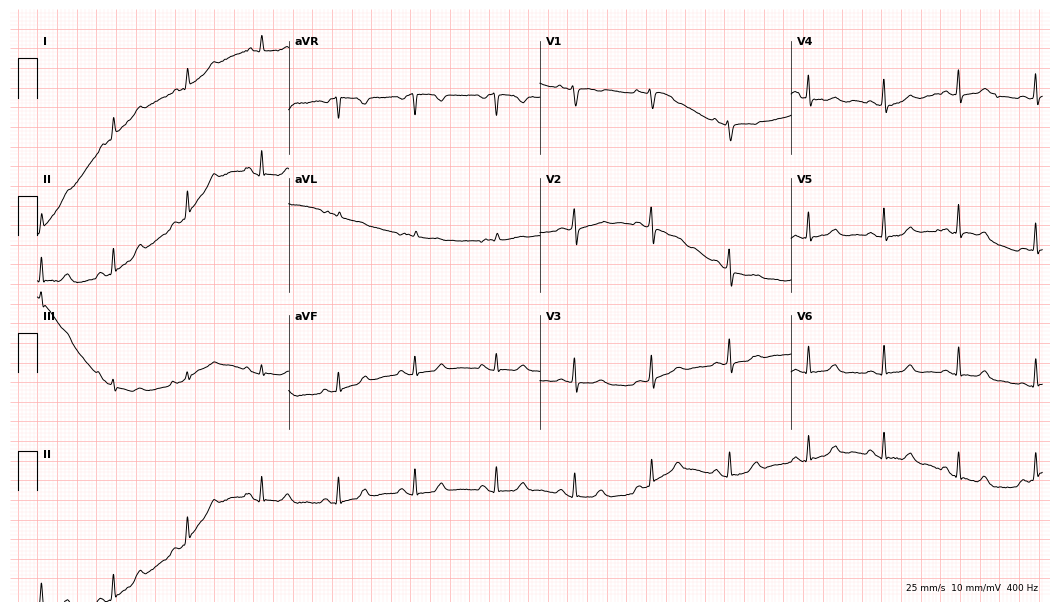
12-lead ECG from a 51-year-old female. No first-degree AV block, right bundle branch block (RBBB), left bundle branch block (LBBB), sinus bradycardia, atrial fibrillation (AF) or sinus tachycardia recorded for this tracing. Other findings, if any, are not listed.